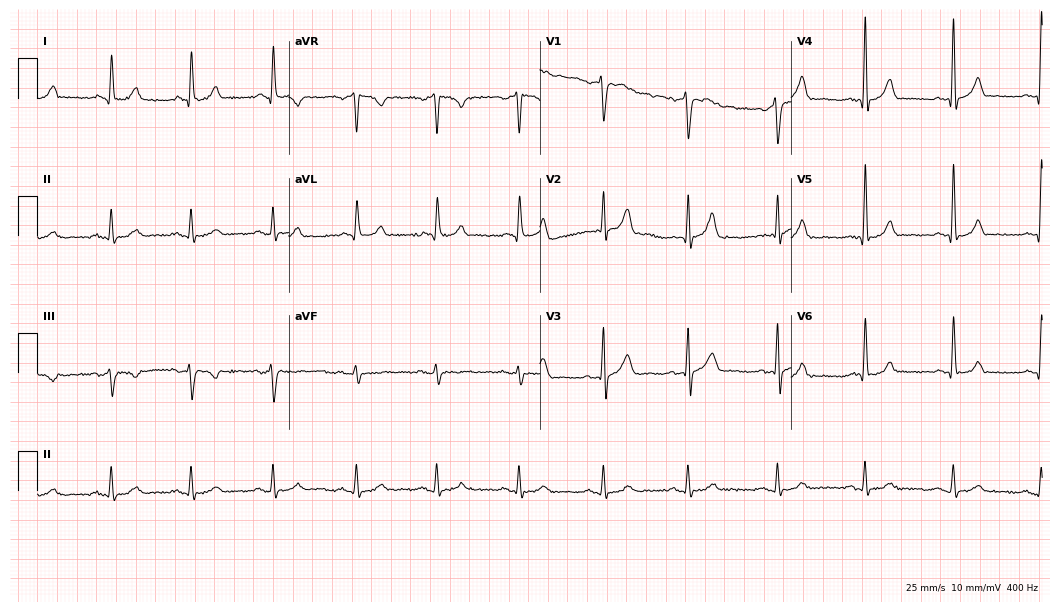
Resting 12-lead electrocardiogram (10.2-second recording at 400 Hz). Patient: a male, 56 years old. Read as a normal ECG.